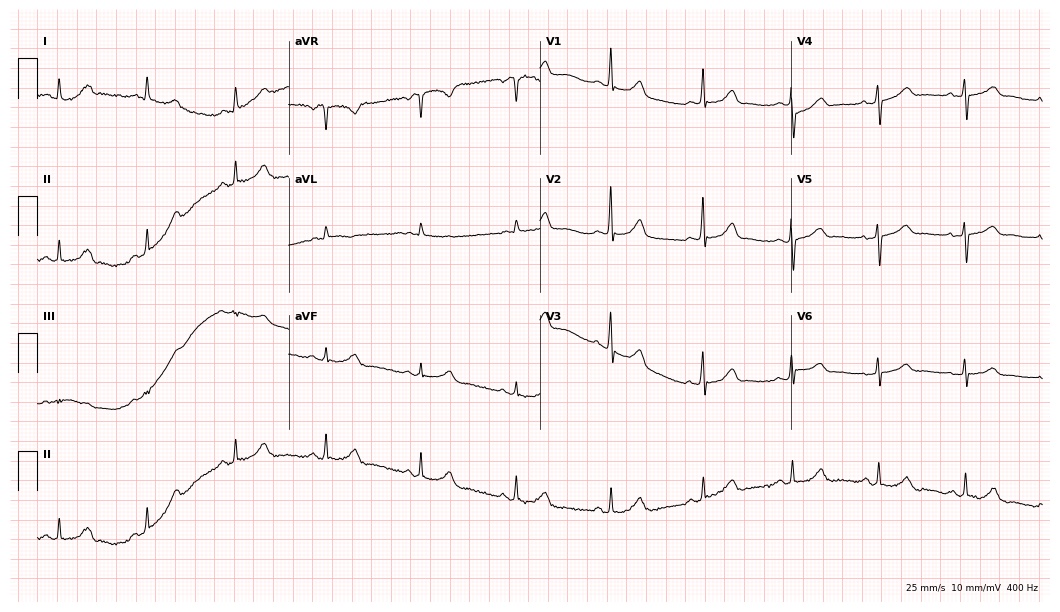
ECG — a 47-year-old female patient. Screened for six findings — first-degree AV block, right bundle branch block, left bundle branch block, sinus bradycardia, atrial fibrillation, sinus tachycardia — none is recorded.